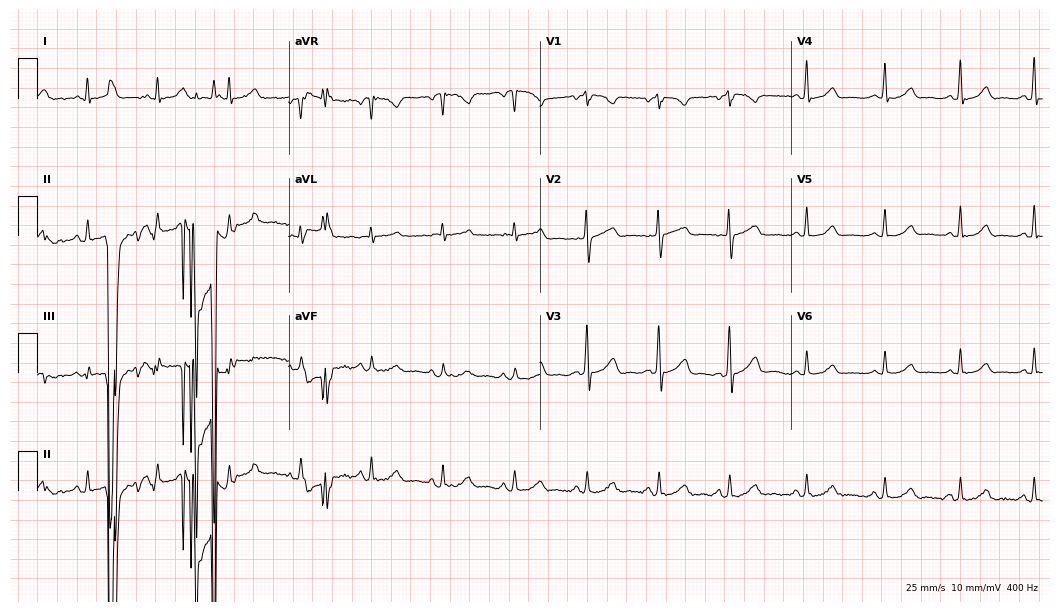
Electrocardiogram, a female patient, 60 years old. Overall reading on record: normal ECG.